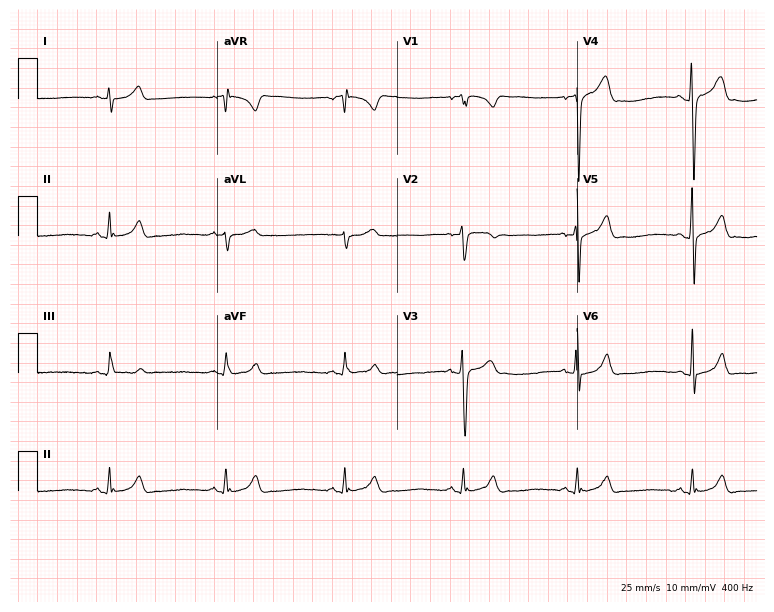
12-lead ECG from a male, 19 years old. No first-degree AV block, right bundle branch block, left bundle branch block, sinus bradycardia, atrial fibrillation or sinus tachycardia recorded for this tracing. Findings outside these six are not listed.